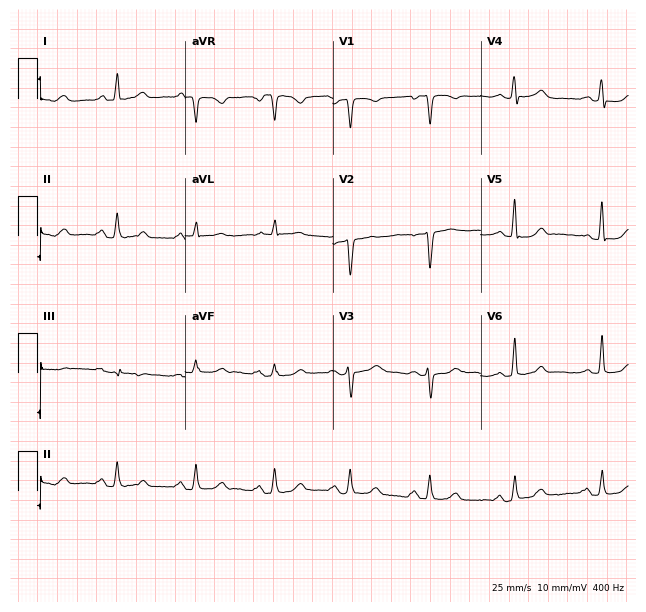
12-lead ECG from a 46-year-old female patient. Labelled as a normal ECG.